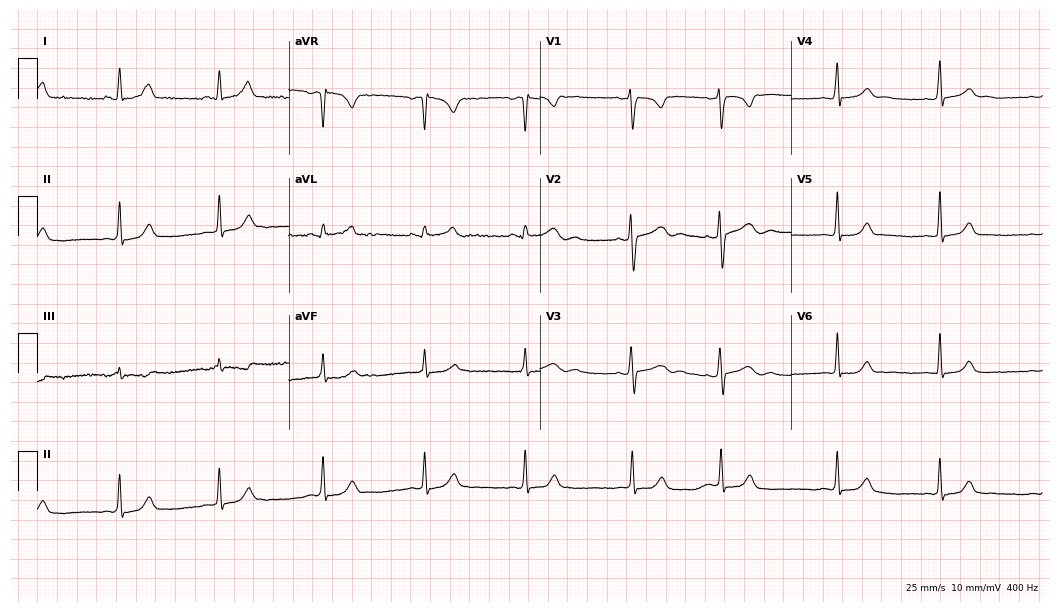
12-lead ECG from a female patient, 23 years old. Recorded interpretation: within normal limits.